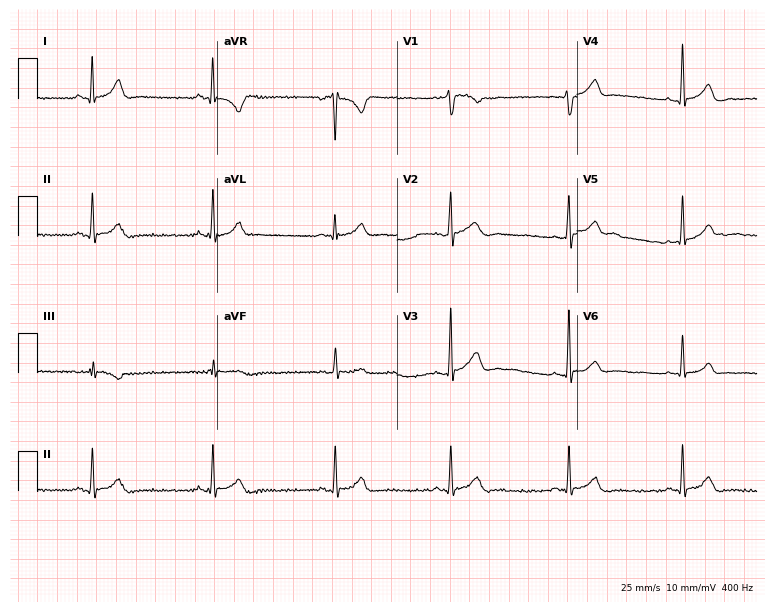
ECG (7.3-second recording at 400 Hz) — a 27-year-old male. Findings include sinus bradycardia (a sinus rate of 50 beats per minute or less).